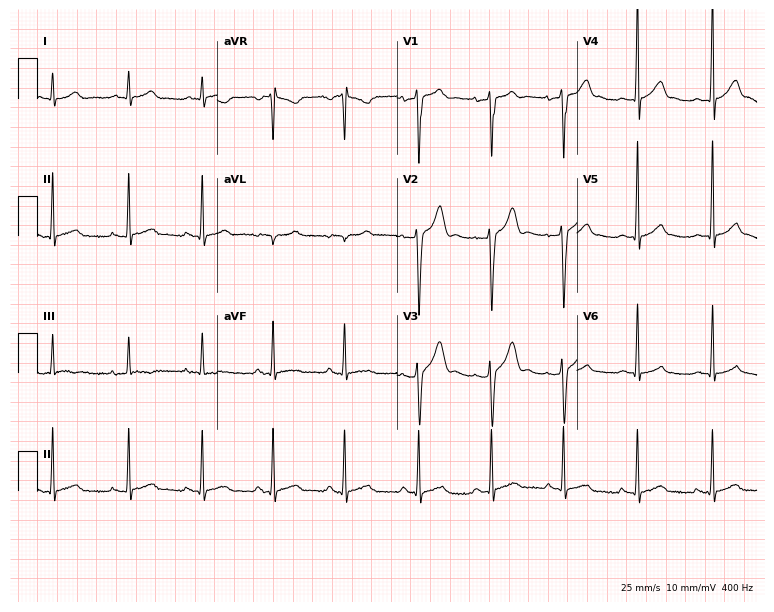
Electrocardiogram (7.3-second recording at 400 Hz), an 18-year-old male. Of the six screened findings (first-degree AV block, right bundle branch block, left bundle branch block, sinus bradycardia, atrial fibrillation, sinus tachycardia), none is recorded.